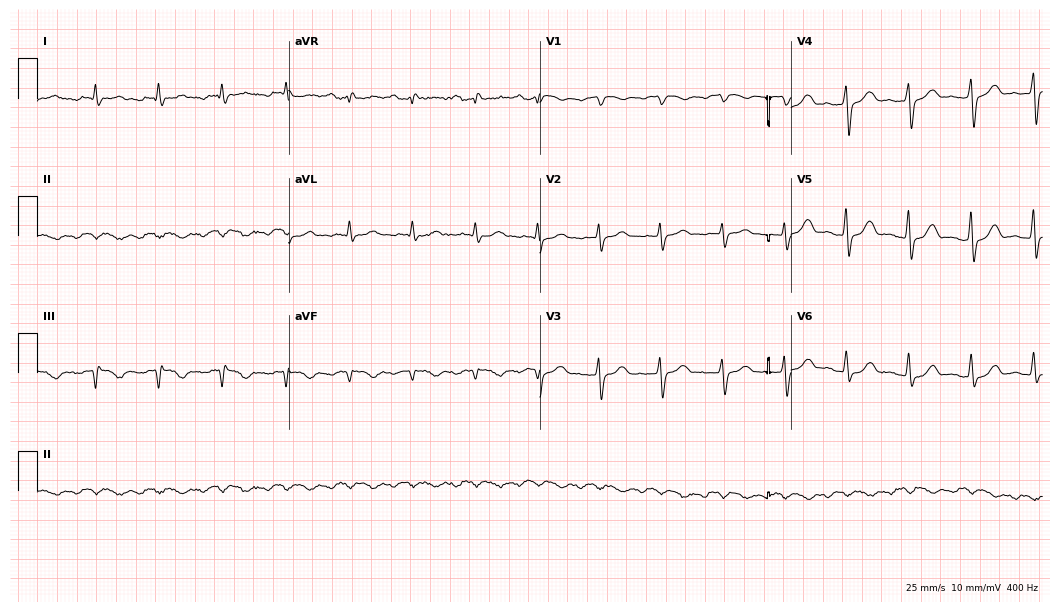
Resting 12-lead electrocardiogram (10.2-second recording at 400 Hz). Patient: an 81-year-old man. None of these six findings is recorded: first-degree AV block, right bundle branch block, left bundle branch block, sinus bradycardia, atrial fibrillation, sinus tachycardia.